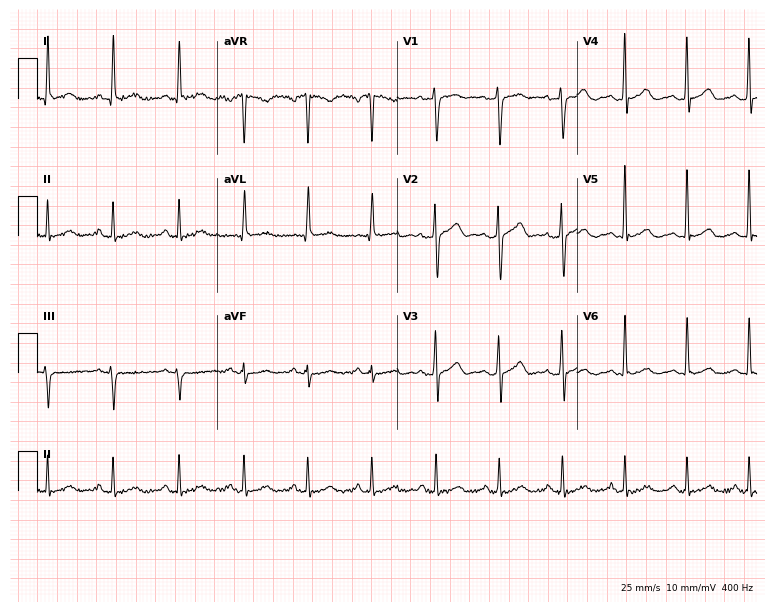
ECG (7.3-second recording at 400 Hz) — a 66-year-old male patient. Screened for six findings — first-degree AV block, right bundle branch block (RBBB), left bundle branch block (LBBB), sinus bradycardia, atrial fibrillation (AF), sinus tachycardia — none is recorded.